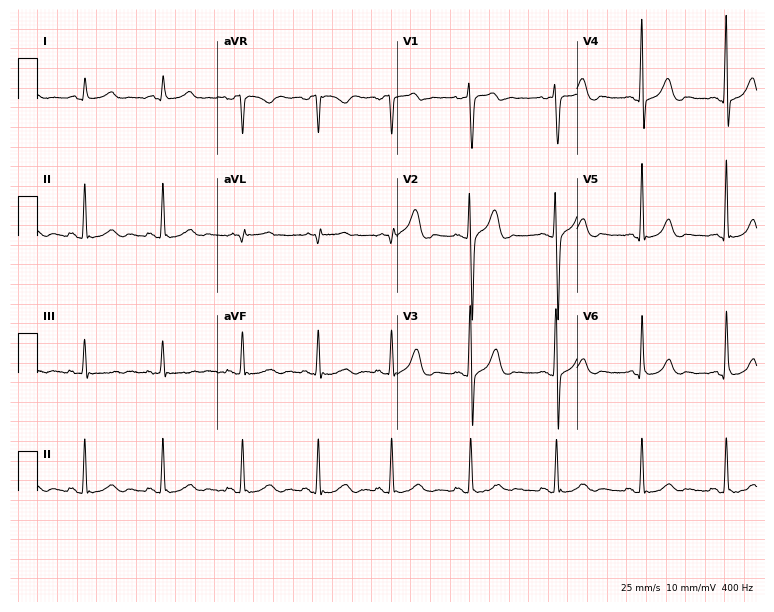
12-lead ECG (7.3-second recording at 400 Hz) from a male patient, 38 years old. Labelled as a normal ECG.